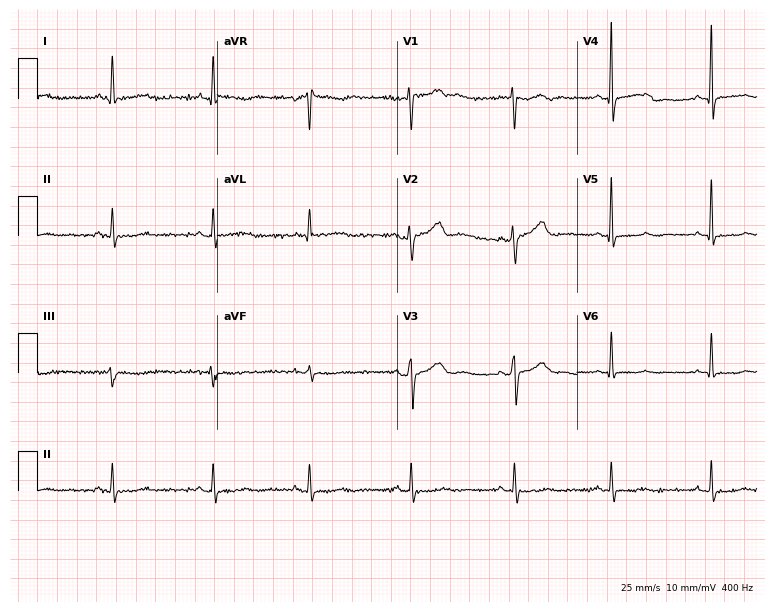
12-lead ECG from a 54-year-old female (7.3-second recording at 400 Hz). No first-degree AV block, right bundle branch block (RBBB), left bundle branch block (LBBB), sinus bradycardia, atrial fibrillation (AF) or sinus tachycardia recorded for this tracing. Findings outside these six are not listed.